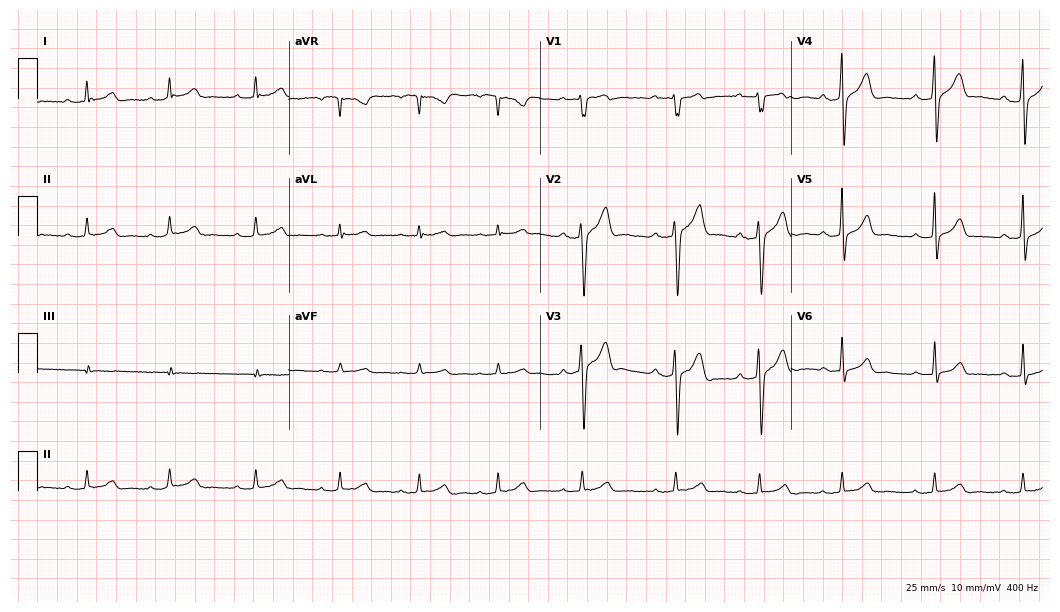
Electrocardiogram, a 30-year-old male patient. Overall reading on record: normal ECG.